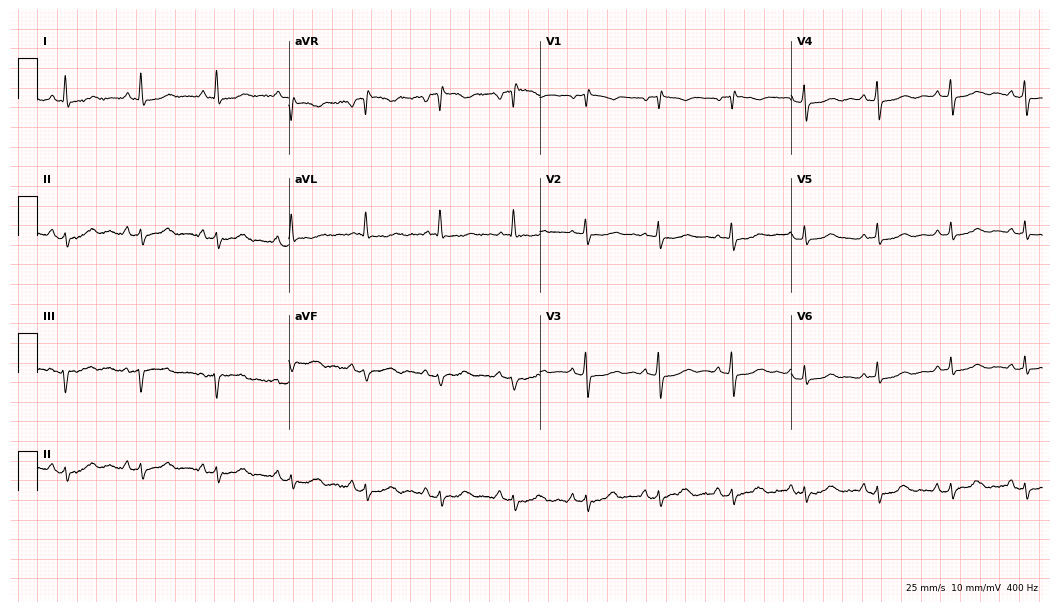
ECG — a female, 62 years old. Screened for six findings — first-degree AV block, right bundle branch block, left bundle branch block, sinus bradycardia, atrial fibrillation, sinus tachycardia — none is recorded.